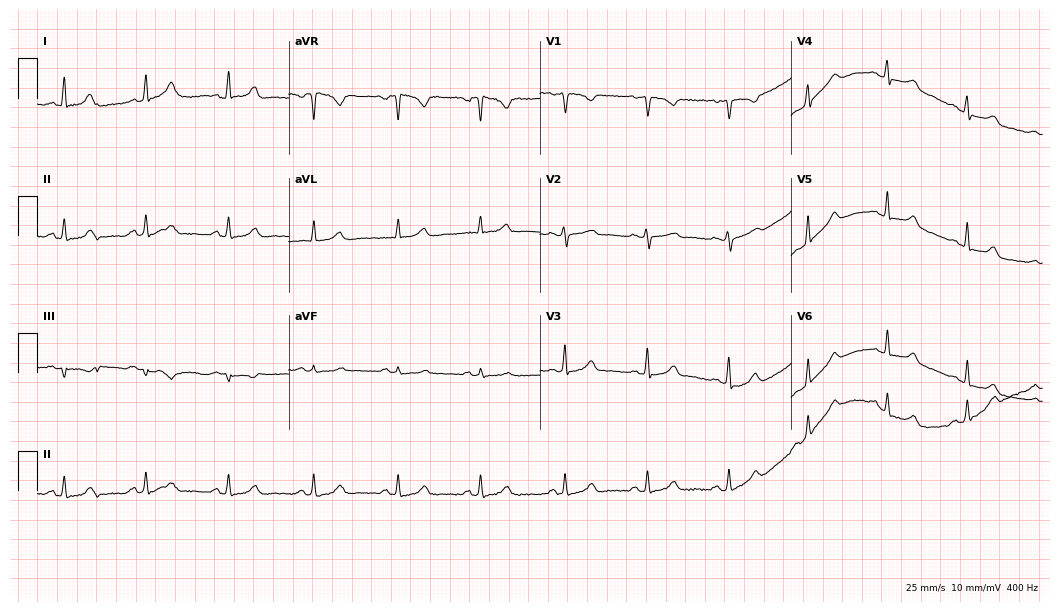
Standard 12-lead ECG recorded from a female patient, 40 years old (10.2-second recording at 400 Hz). Read as a normal ECG.